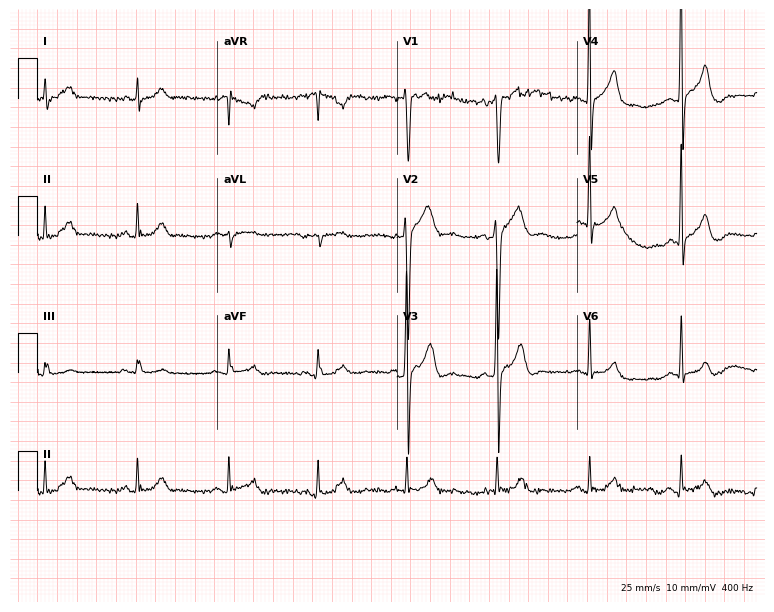
Electrocardiogram (7.3-second recording at 400 Hz), a 57-year-old male. Overall reading on record: normal ECG.